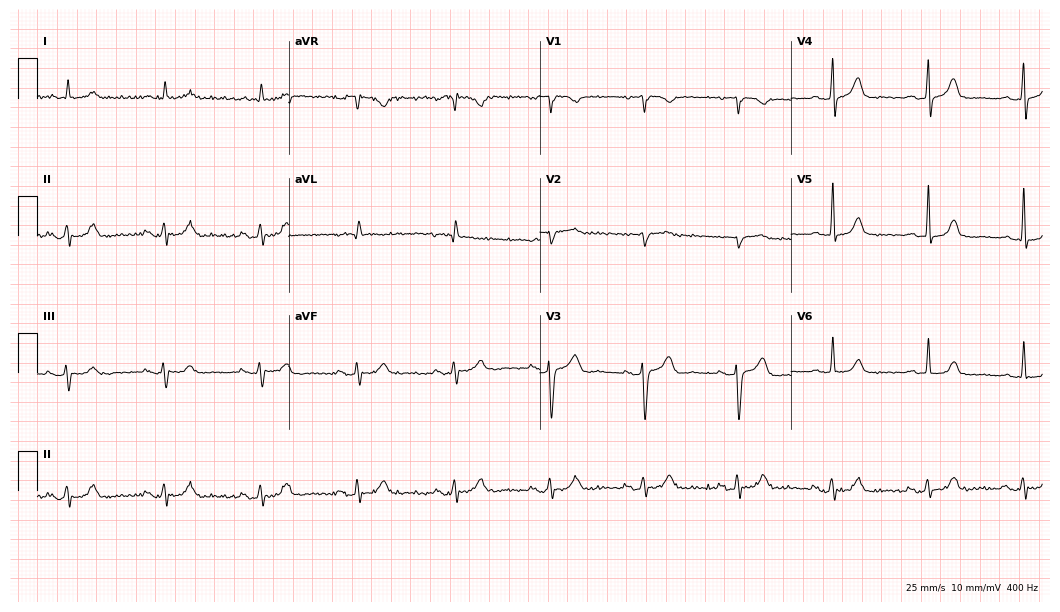
12-lead ECG from an 84-year-old male. Labelled as a normal ECG.